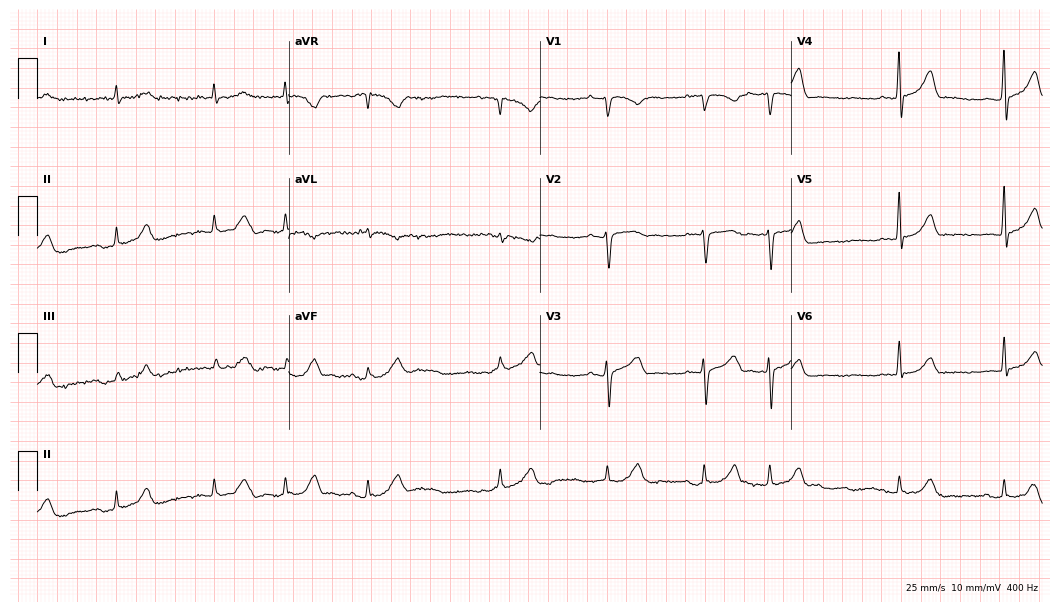
12-lead ECG from a man, 83 years old. Screened for six findings — first-degree AV block, right bundle branch block, left bundle branch block, sinus bradycardia, atrial fibrillation, sinus tachycardia — none is recorded.